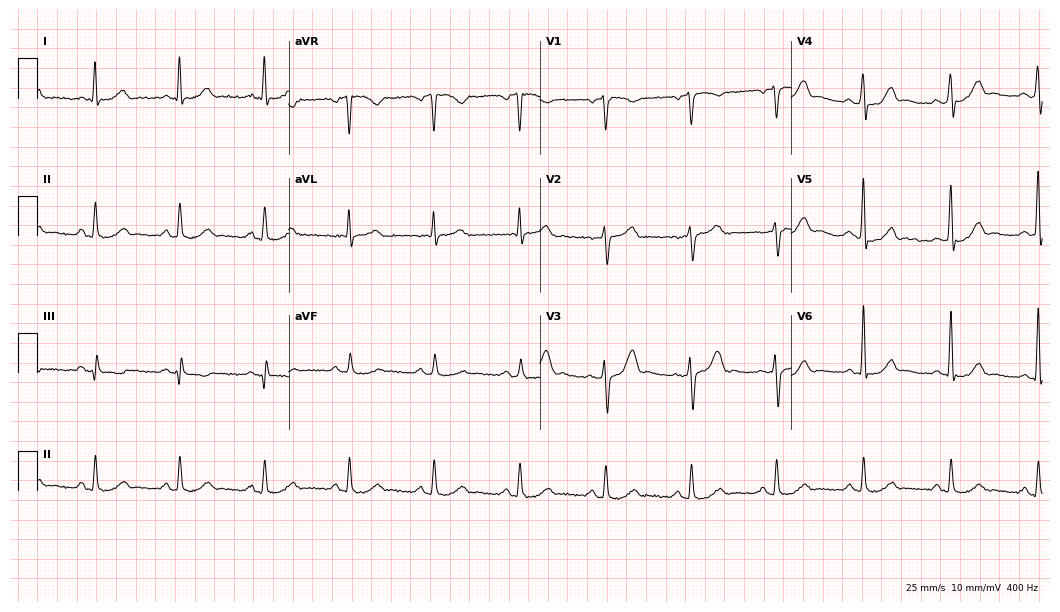
ECG — a male patient, 58 years old. Labelled as a normal ECG.